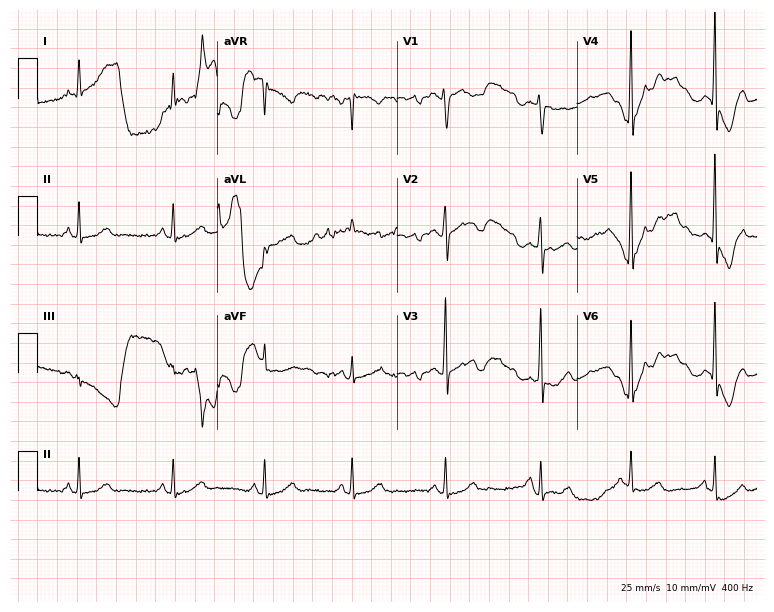
ECG (7.3-second recording at 400 Hz) — a woman, 42 years old. Labelled as a normal ECG.